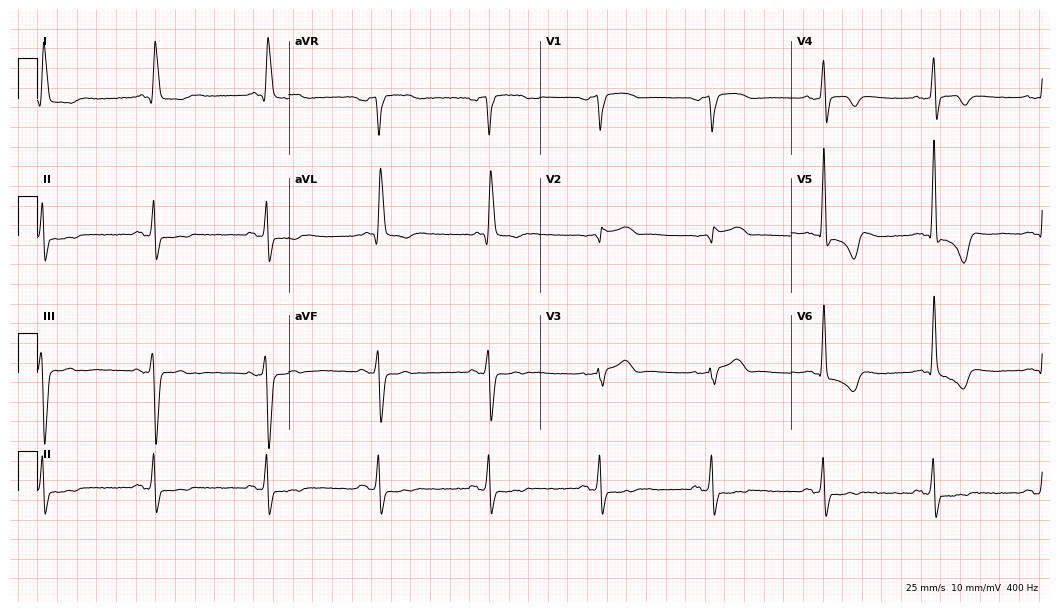
Standard 12-lead ECG recorded from a male patient, 84 years old. None of these six findings is recorded: first-degree AV block, right bundle branch block, left bundle branch block, sinus bradycardia, atrial fibrillation, sinus tachycardia. Other findings, if any, are not listed.